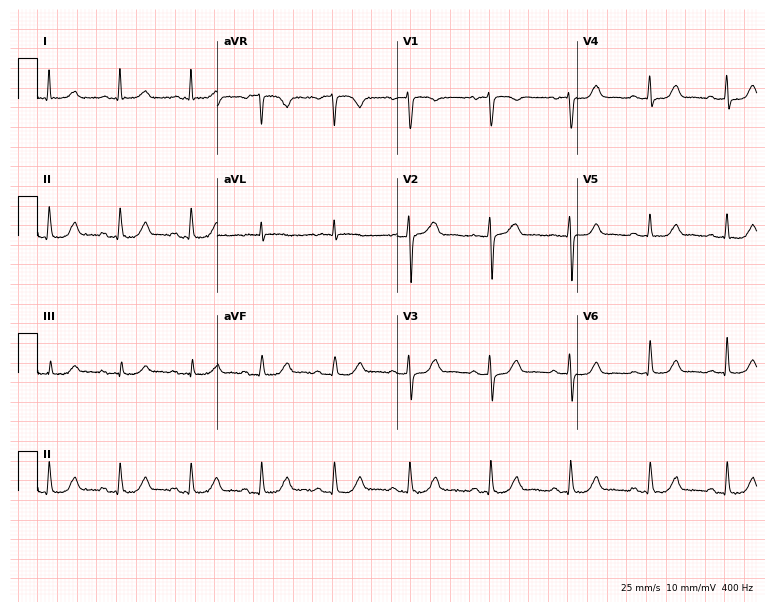
Resting 12-lead electrocardiogram (7.3-second recording at 400 Hz). Patient: a 77-year-old woman. Read as a normal ECG.